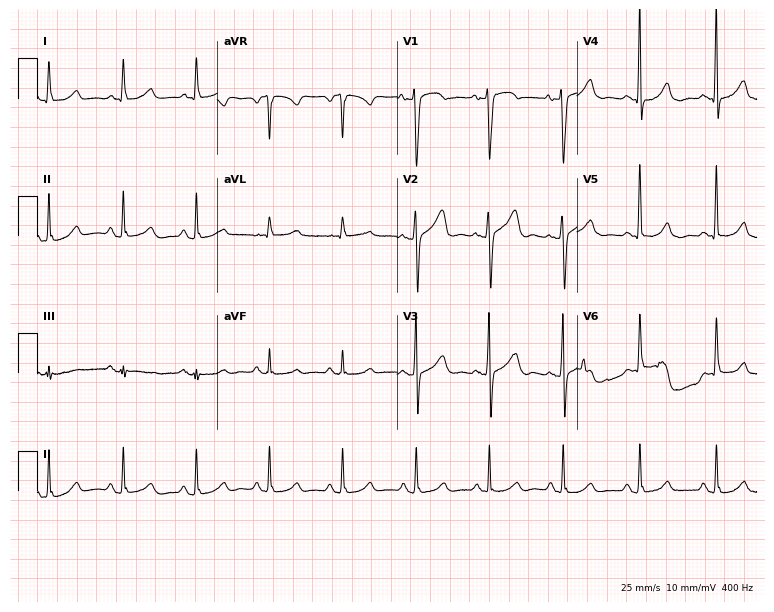
12-lead ECG from a female, 45 years old. Screened for six findings — first-degree AV block, right bundle branch block, left bundle branch block, sinus bradycardia, atrial fibrillation, sinus tachycardia — none is recorded. Other findings, if any, are not listed.